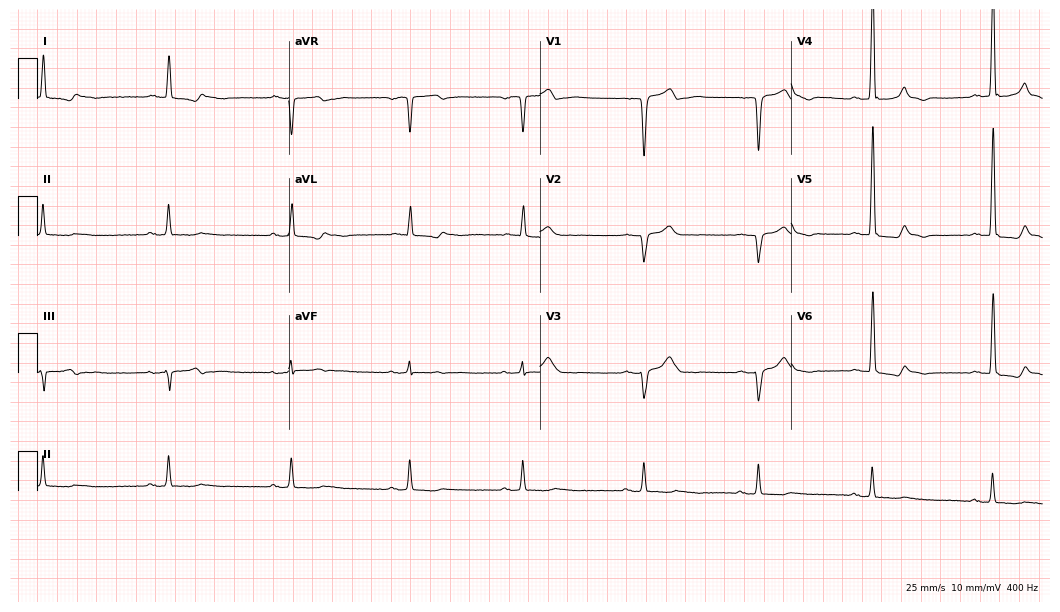
ECG (10.2-second recording at 400 Hz) — a 73-year-old man. Screened for six findings — first-degree AV block, right bundle branch block, left bundle branch block, sinus bradycardia, atrial fibrillation, sinus tachycardia — none is recorded. Other findings, if any, are not listed.